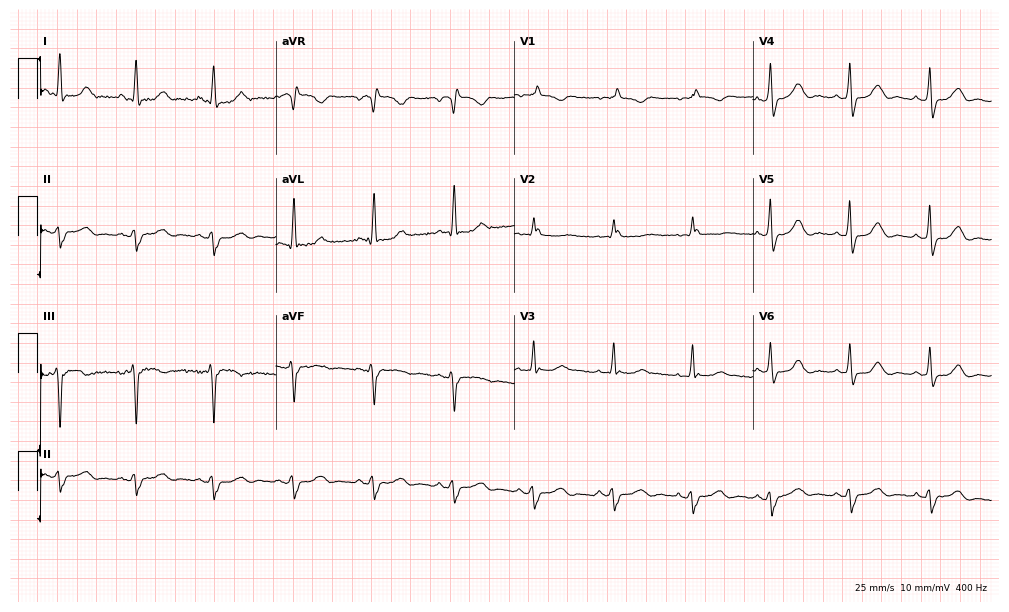
ECG (9.7-second recording at 400 Hz) — a female patient, 61 years old. Screened for six findings — first-degree AV block, right bundle branch block (RBBB), left bundle branch block (LBBB), sinus bradycardia, atrial fibrillation (AF), sinus tachycardia — none is recorded.